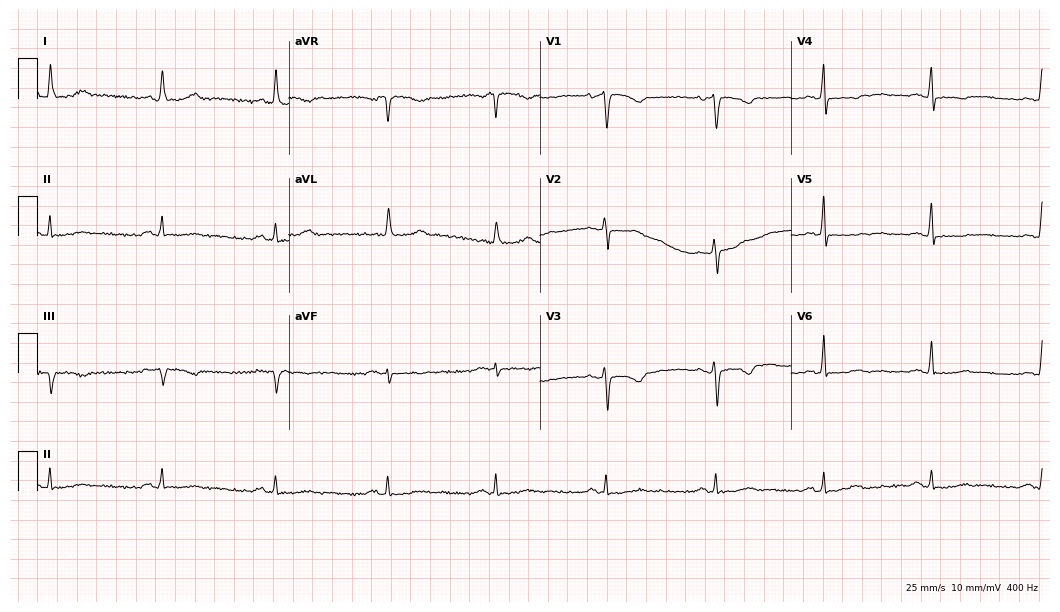
ECG (10.2-second recording at 400 Hz) — a female patient, 64 years old. Screened for six findings — first-degree AV block, right bundle branch block (RBBB), left bundle branch block (LBBB), sinus bradycardia, atrial fibrillation (AF), sinus tachycardia — none is recorded.